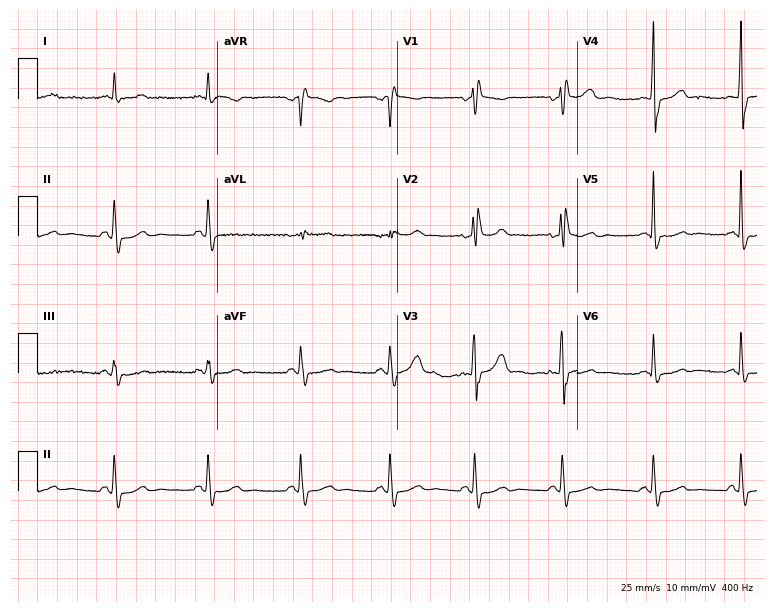
Standard 12-lead ECG recorded from a 38-year-old man (7.3-second recording at 400 Hz). The tracing shows right bundle branch block.